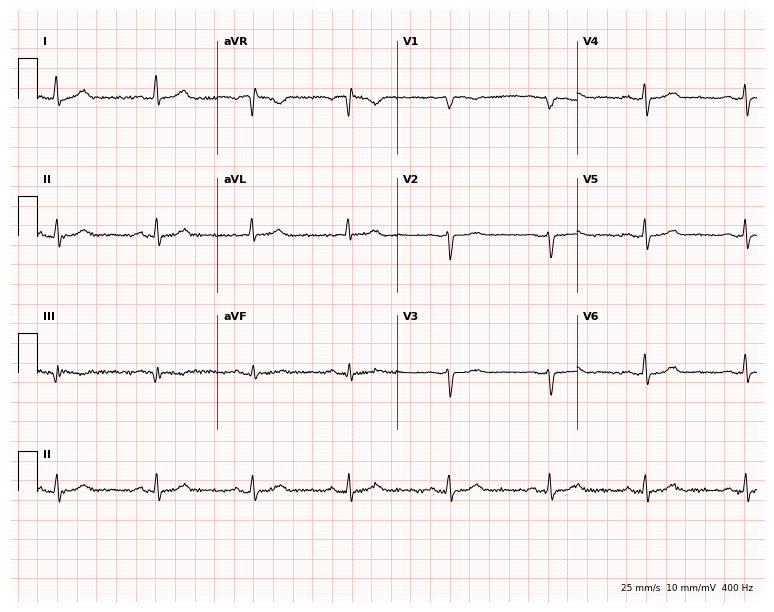
12-lead ECG (7.3-second recording at 400 Hz) from a woman, 49 years old. Labelled as a normal ECG.